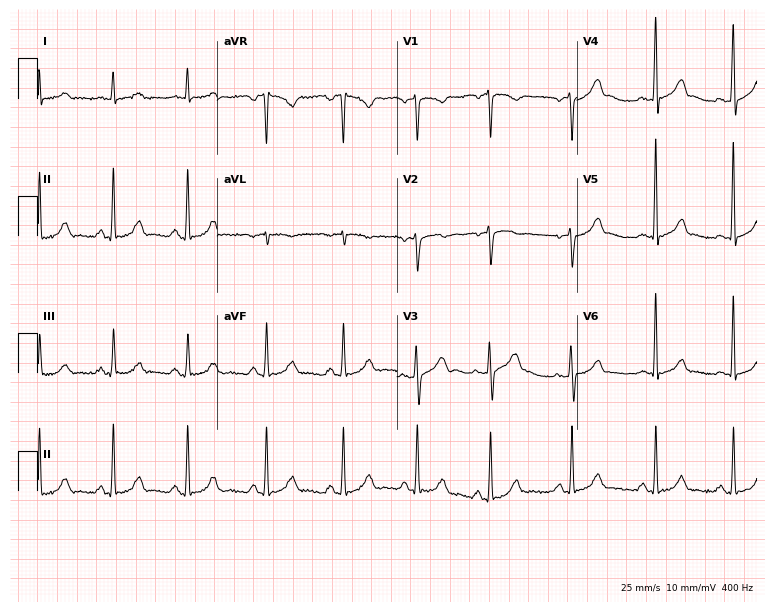
Electrocardiogram (7.3-second recording at 400 Hz), a male patient, 47 years old. Overall reading on record: normal ECG.